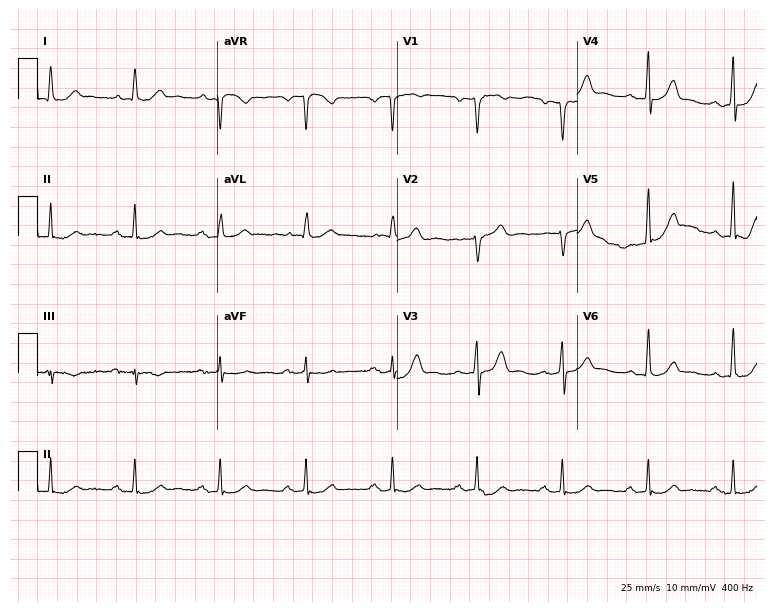
12-lead ECG from a 54-year-old male patient. No first-degree AV block, right bundle branch block, left bundle branch block, sinus bradycardia, atrial fibrillation or sinus tachycardia recorded for this tracing.